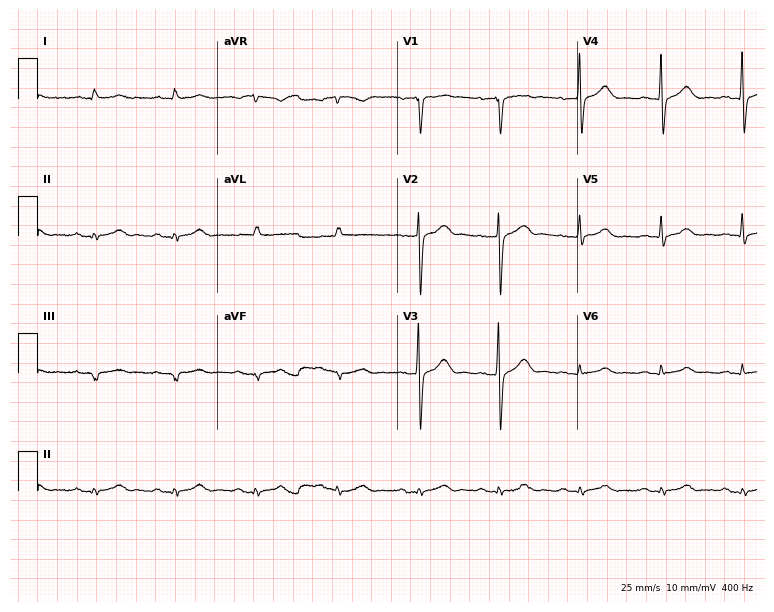
Resting 12-lead electrocardiogram (7.3-second recording at 400 Hz). Patient: a man, 84 years old. None of these six findings is recorded: first-degree AV block, right bundle branch block (RBBB), left bundle branch block (LBBB), sinus bradycardia, atrial fibrillation (AF), sinus tachycardia. Other findings, if any, are not listed.